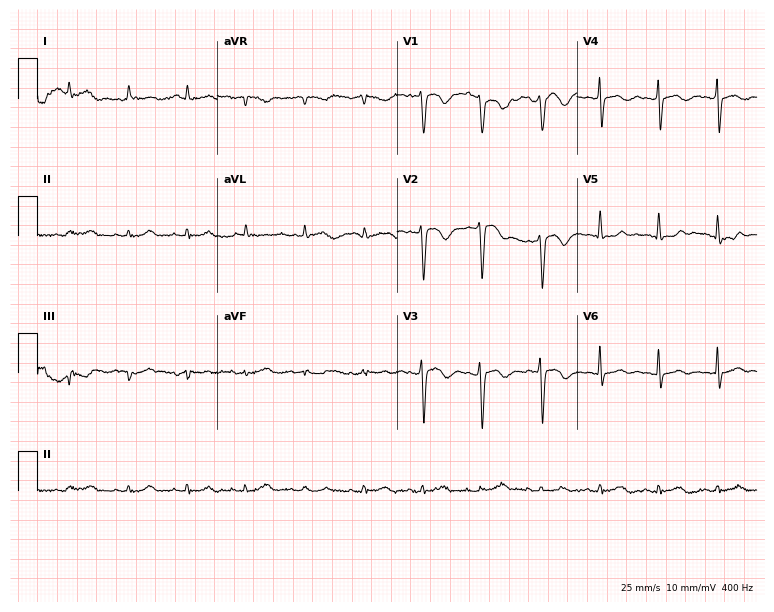
12-lead ECG (7.3-second recording at 400 Hz) from a 67-year-old male patient. Screened for six findings — first-degree AV block, right bundle branch block, left bundle branch block, sinus bradycardia, atrial fibrillation, sinus tachycardia — none is recorded.